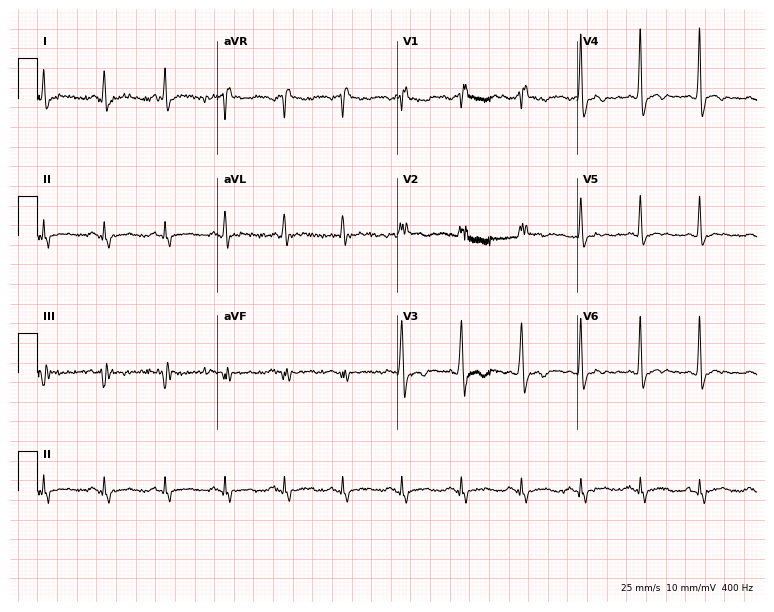
Resting 12-lead electrocardiogram. Patient: a 57-year-old man. None of these six findings is recorded: first-degree AV block, right bundle branch block, left bundle branch block, sinus bradycardia, atrial fibrillation, sinus tachycardia.